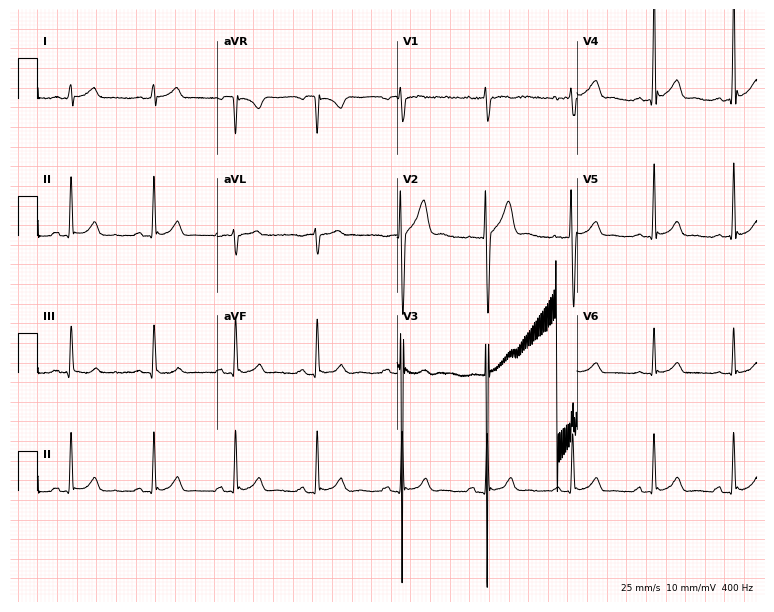
ECG — a 19-year-old man. Labelled as a normal ECG.